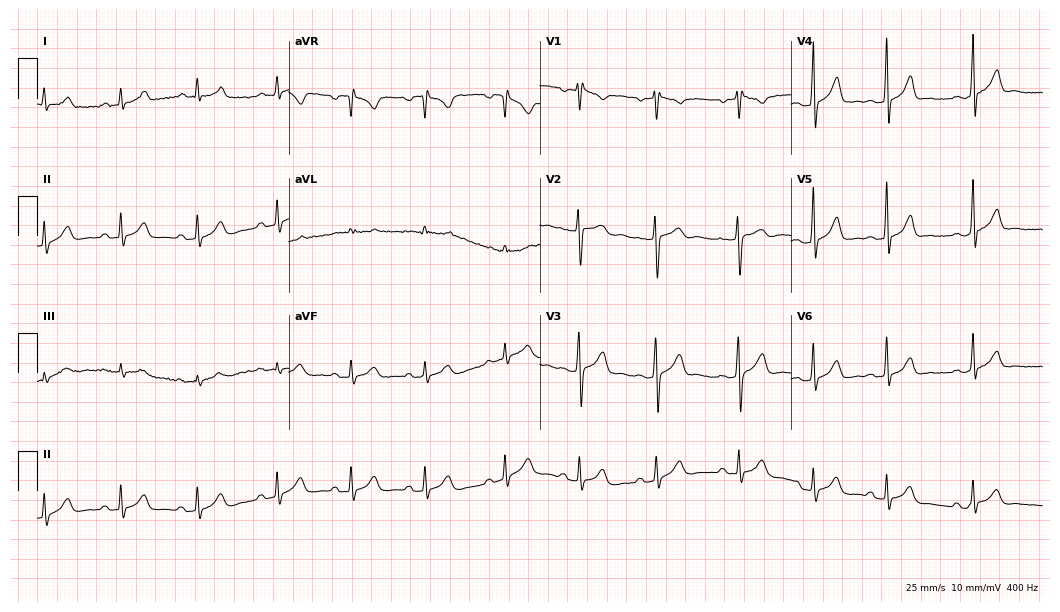
ECG (10.2-second recording at 400 Hz) — a male, 17 years old. Labelled as a normal ECG.